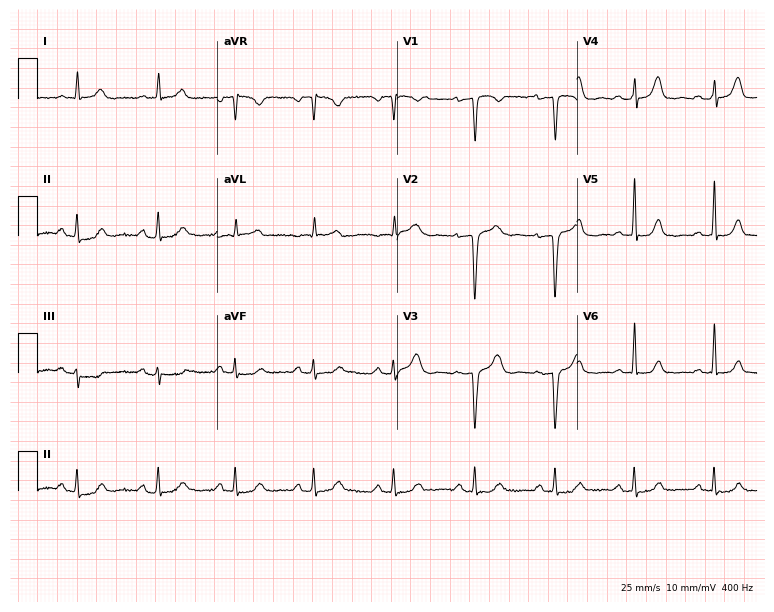
Electrocardiogram (7.3-second recording at 400 Hz), a woman, 48 years old. Of the six screened findings (first-degree AV block, right bundle branch block, left bundle branch block, sinus bradycardia, atrial fibrillation, sinus tachycardia), none is recorded. Other findings, if any, are not listed.